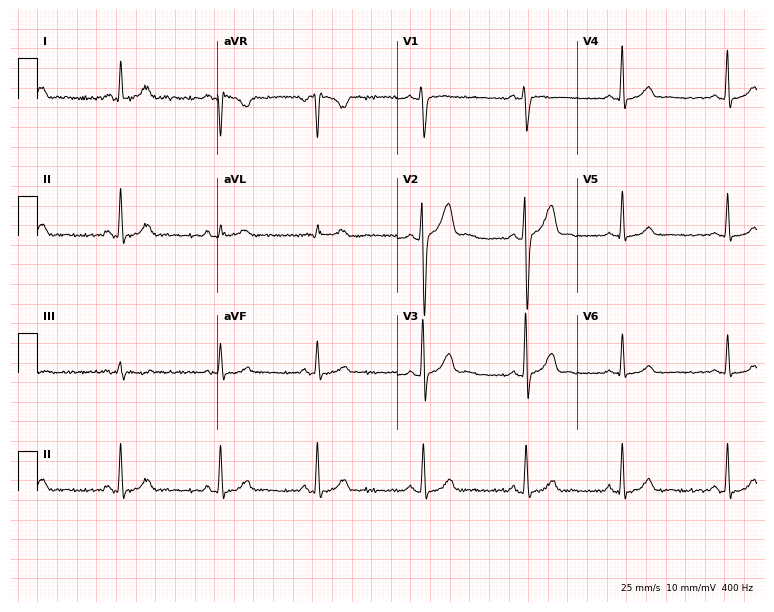
12-lead ECG from a 32-year-old male. Labelled as a normal ECG.